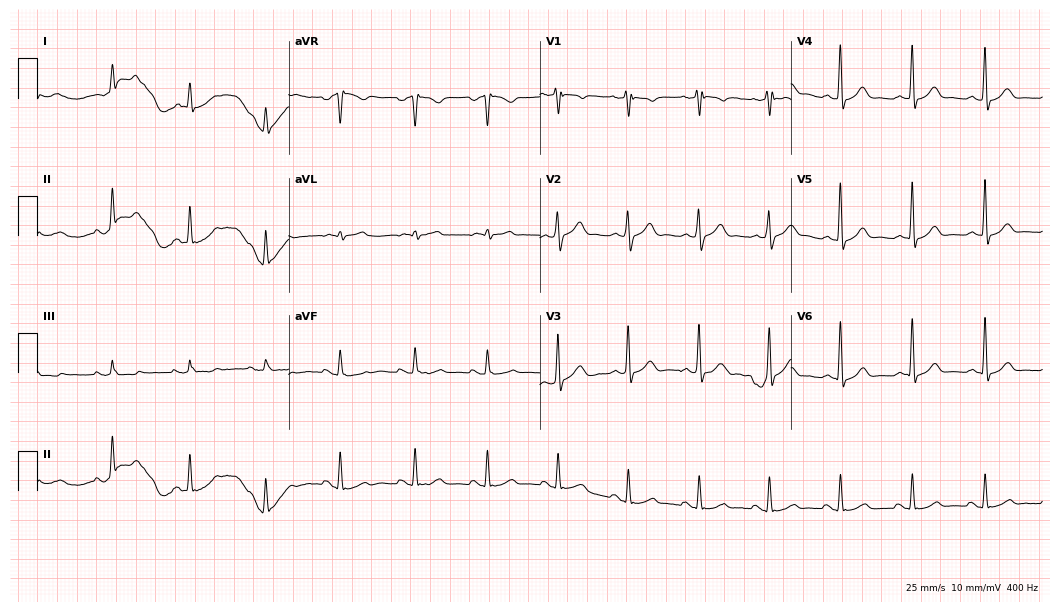
Electrocardiogram (10.2-second recording at 400 Hz), a male patient, 59 years old. Of the six screened findings (first-degree AV block, right bundle branch block, left bundle branch block, sinus bradycardia, atrial fibrillation, sinus tachycardia), none is recorded. Only these six findings were labelled.